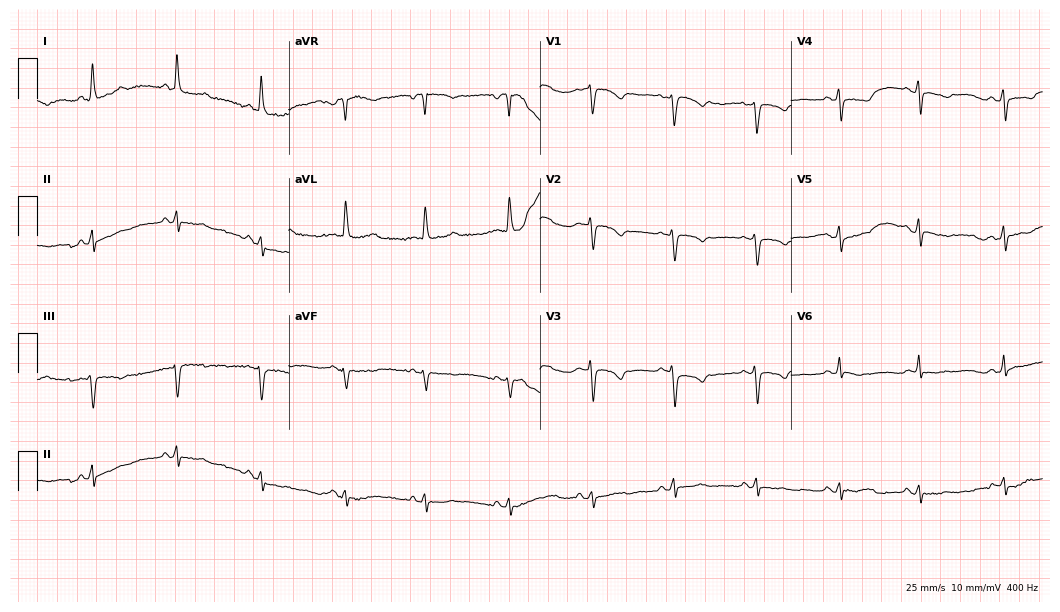
Standard 12-lead ECG recorded from a woman, 62 years old (10.2-second recording at 400 Hz). None of these six findings is recorded: first-degree AV block, right bundle branch block (RBBB), left bundle branch block (LBBB), sinus bradycardia, atrial fibrillation (AF), sinus tachycardia. Only these six findings were labelled.